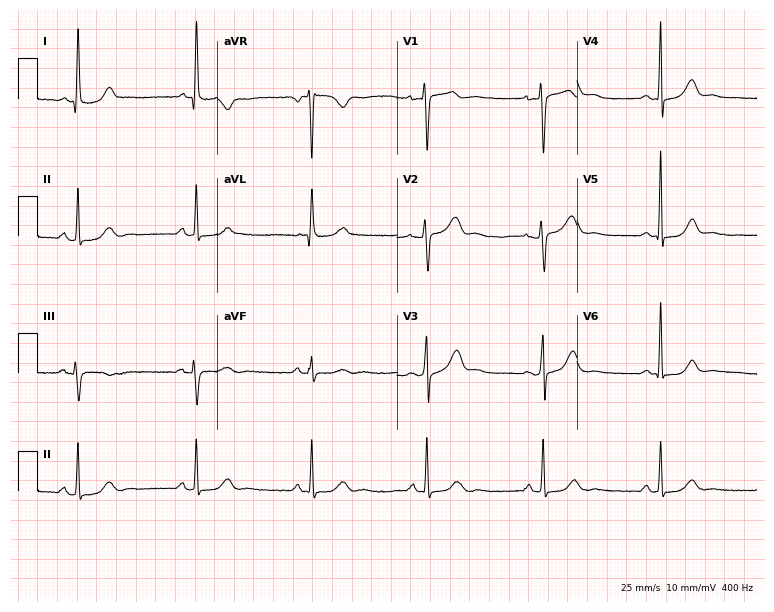
Resting 12-lead electrocardiogram (7.3-second recording at 400 Hz). Patient: a 55-year-old male. Read as a normal ECG.